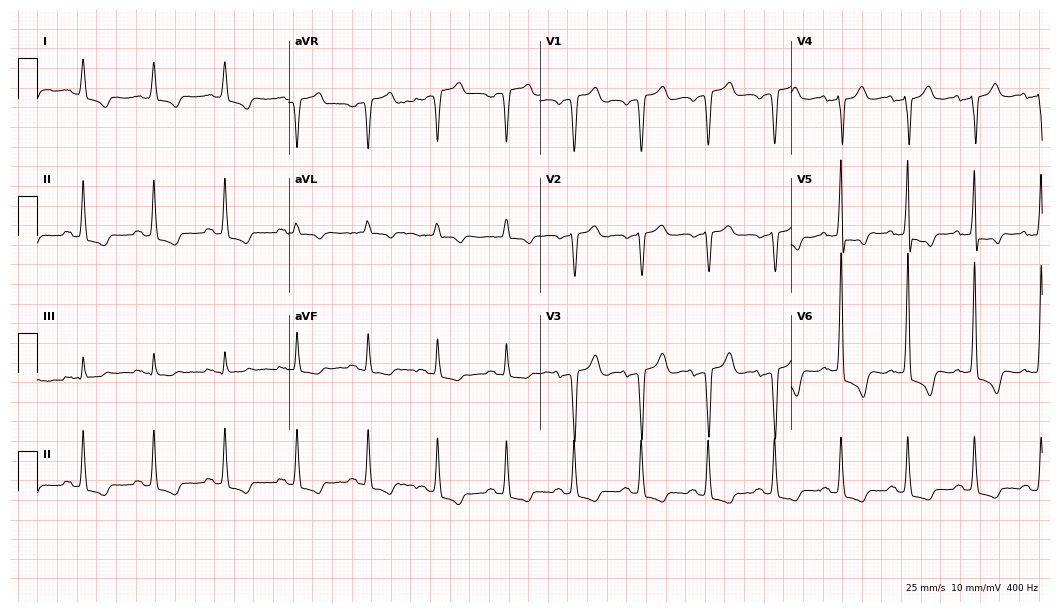
12-lead ECG from an 82-year-old male patient (10.2-second recording at 400 Hz). No first-degree AV block, right bundle branch block, left bundle branch block, sinus bradycardia, atrial fibrillation or sinus tachycardia recorded for this tracing.